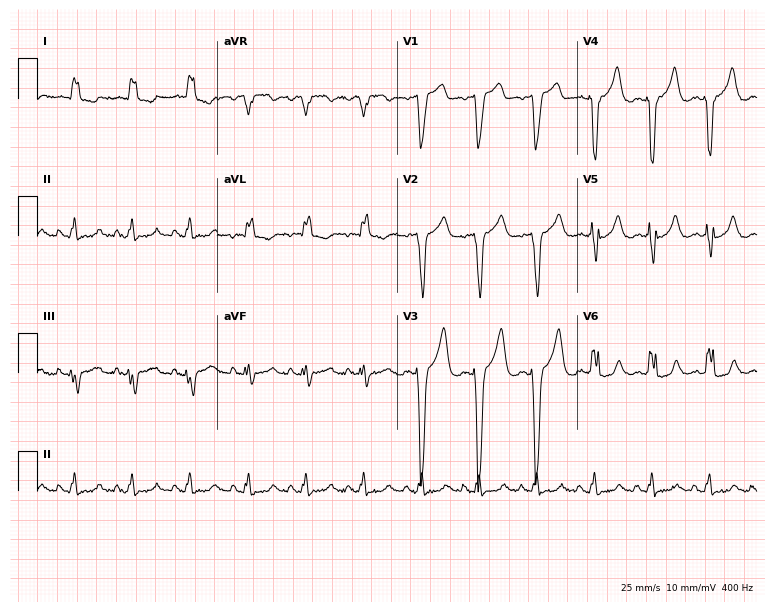
Electrocardiogram, a male, 64 years old. Interpretation includes left bundle branch block.